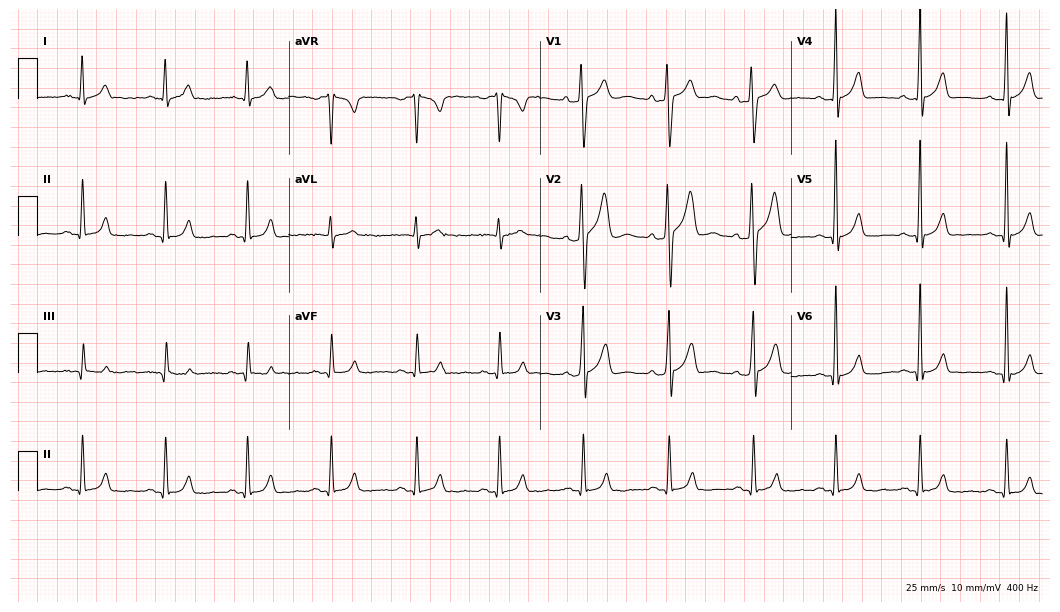
12-lead ECG (10.2-second recording at 400 Hz) from a male patient, 30 years old. Screened for six findings — first-degree AV block, right bundle branch block, left bundle branch block, sinus bradycardia, atrial fibrillation, sinus tachycardia — none is recorded. Findings outside these six are not listed.